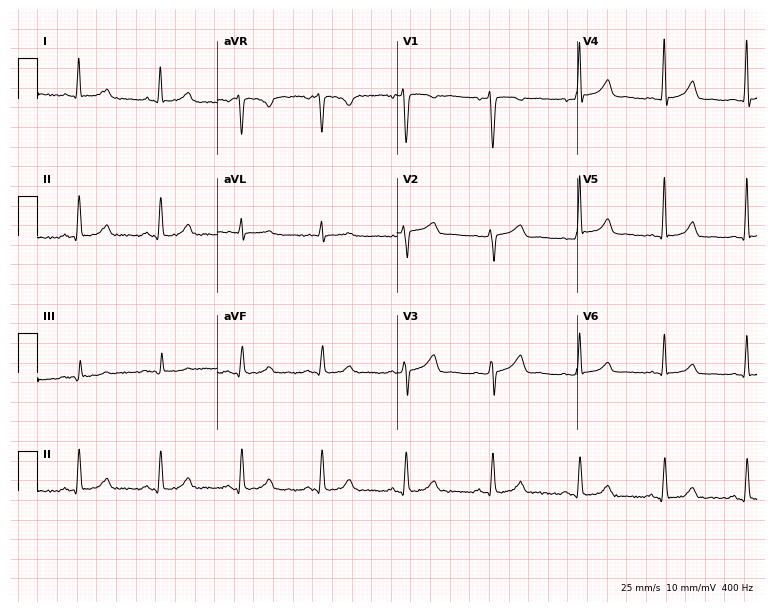
ECG — a 40-year-old female patient. Screened for six findings — first-degree AV block, right bundle branch block (RBBB), left bundle branch block (LBBB), sinus bradycardia, atrial fibrillation (AF), sinus tachycardia — none is recorded.